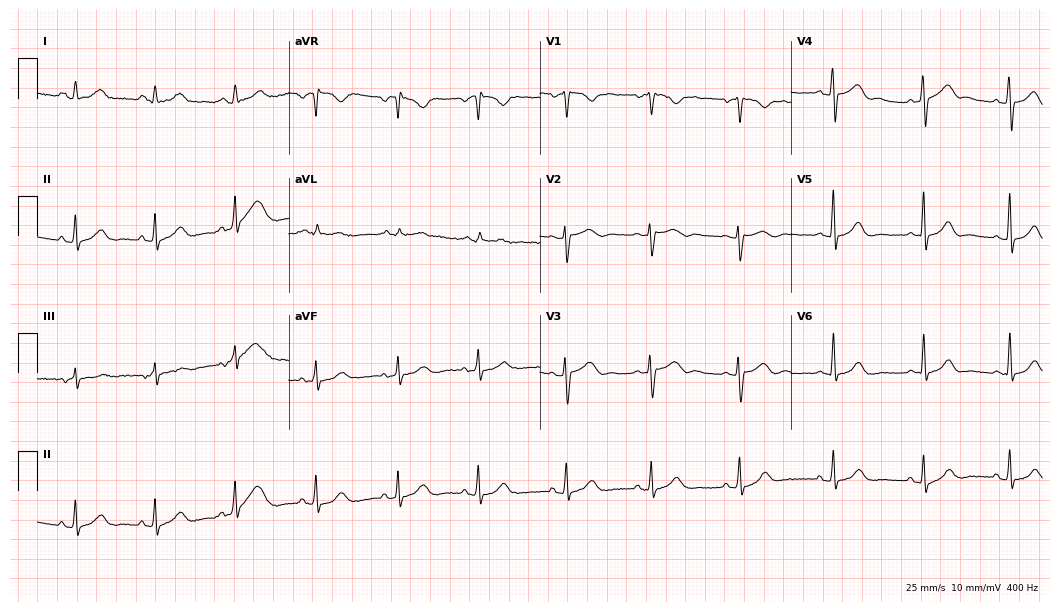
Standard 12-lead ECG recorded from a woman, 34 years old. None of these six findings is recorded: first-degree AV block, right bundle branch block, left bundle branch block, sinus bradycardia, atrial fibrillation, sinus tachycardia. Only these six findings were labelled.